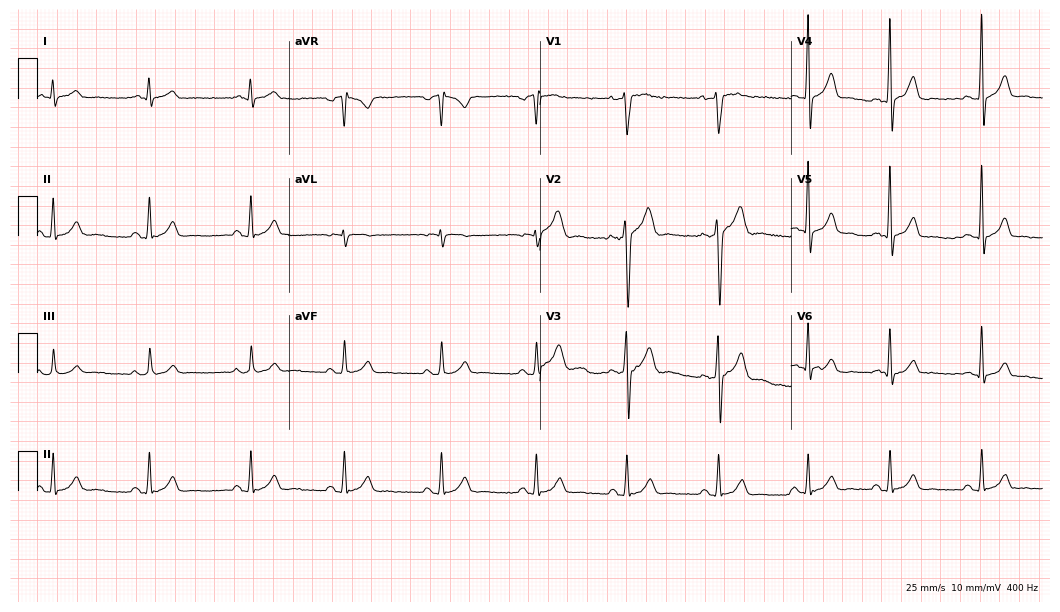
Electrocardiogram, a male patient, 28 years old. Overall reading on record: normal ECG.